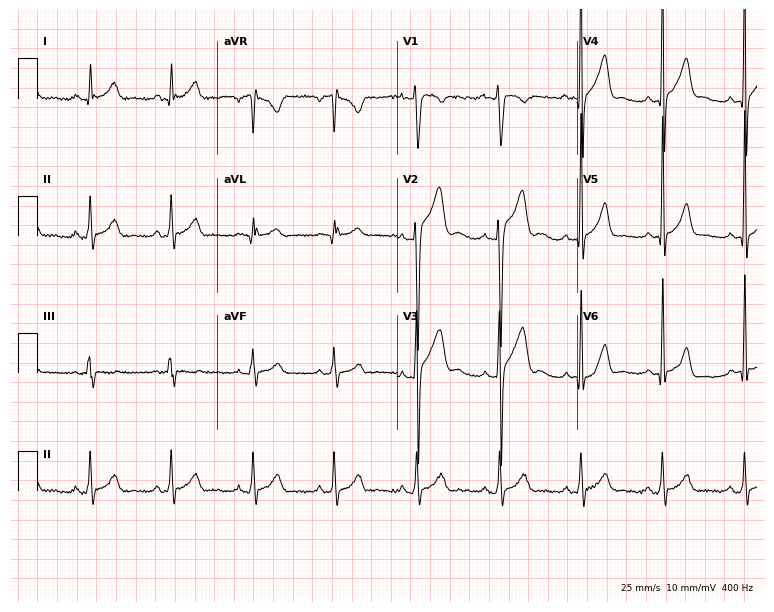
Resting 12-lead electrocardiogram. Patient: a 23-year-old man. None of these six findings is recorded: first-degree AV block, right bundle branch block (RBBB), left bundle branch block (LBBB), sinus bradycardia, atrial fibrillation (AF), sinus tachycardia. Only these six findings were labelled.